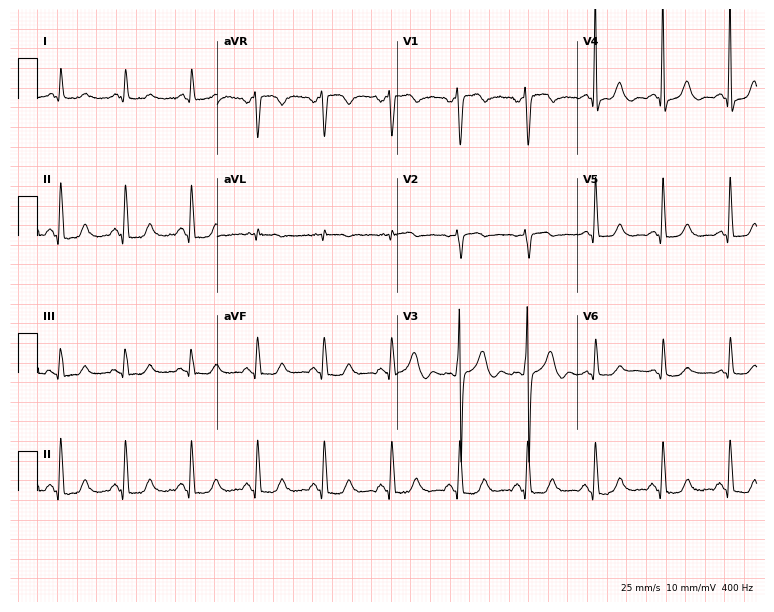
Resting 12-lead electrocardiogram. Patient: a 71-year-old male. Read as a normal ECG.